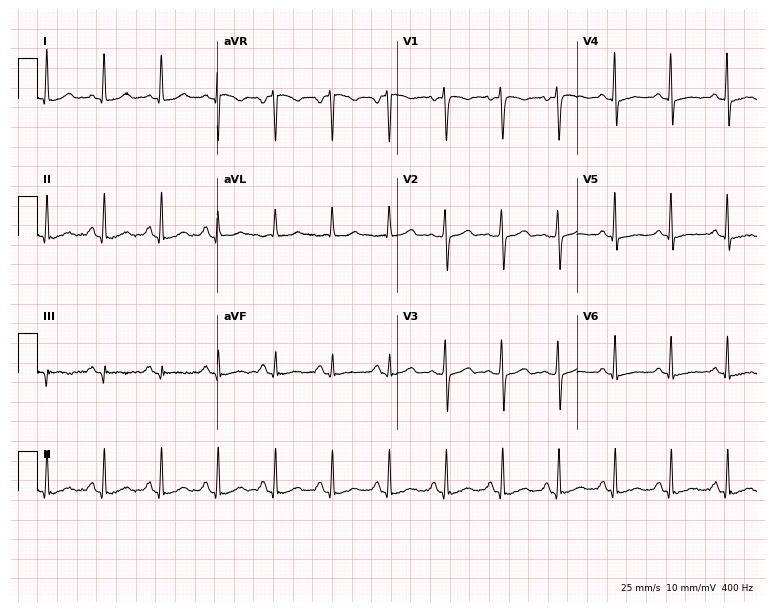
12-lead ECG from a female patient, 63 years old (7.3-second recording at 400 Hz). Shows sinus tachycardia (a sinus rate of 100 beats per minute or more).